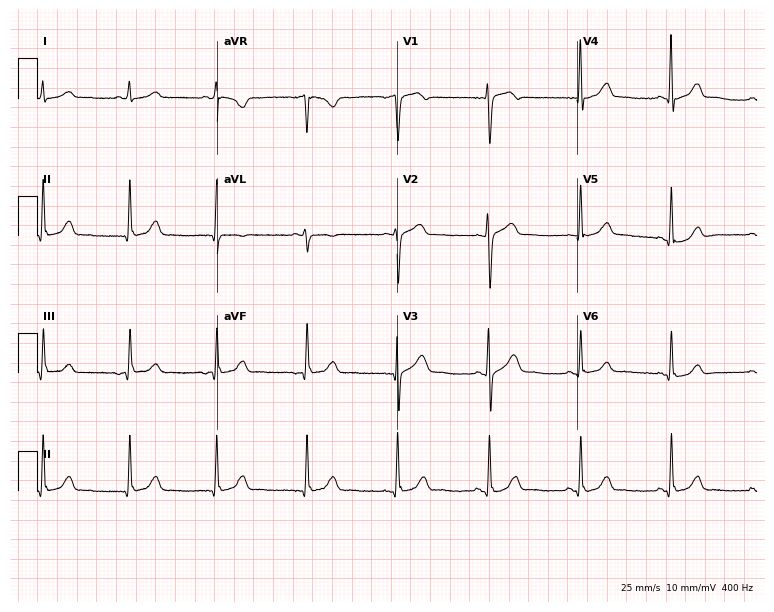
Resting 12-lead electrocardiogram (7.3-second recording at 400 Hz). Patient: a man, 75 years old. Read as a normal ECG.